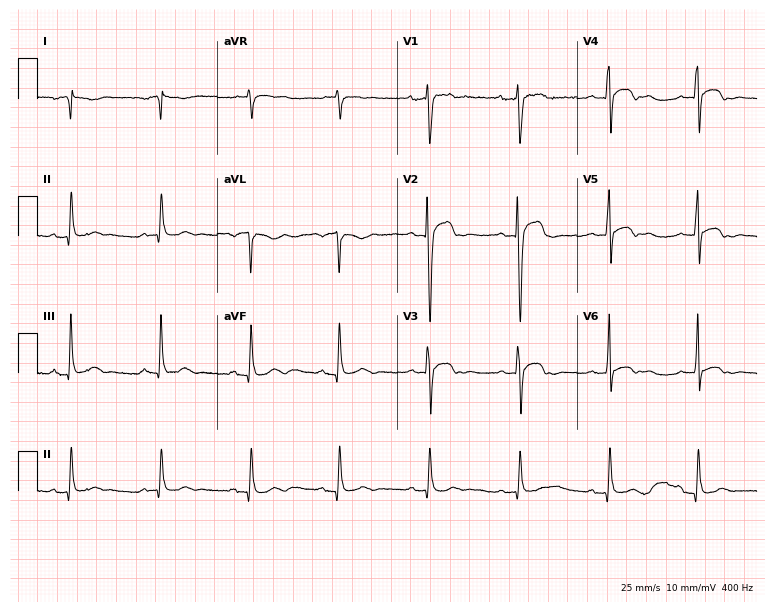
ECG — a 42-year-old man. Screened for six findings — first-degree AV block, right bundle branch block, left bundle branch block, sinus bradycardia, atrial fibrillation, sinus tachycardia — none is recorded. Only these six findings were labelled.